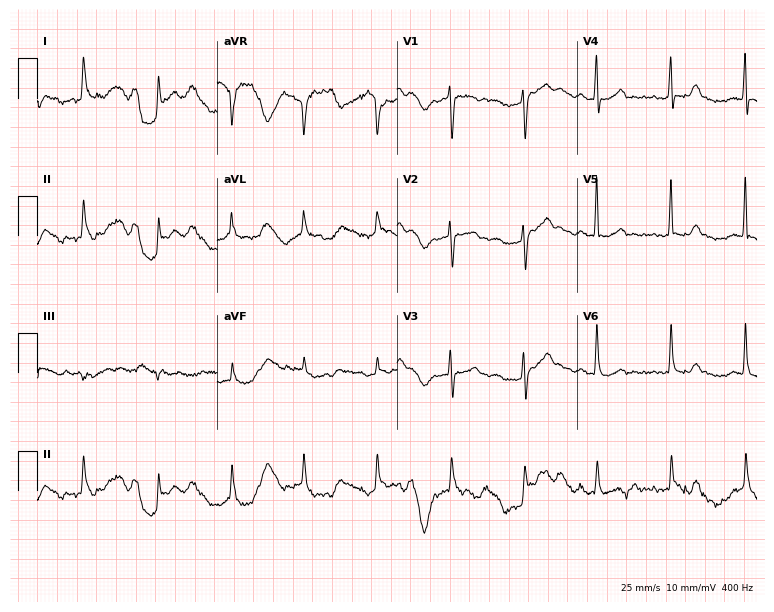
ECG (7.3-second recording at 400 Hz) — a 75-year-old woman. Screened for six findings — first-degree AV block, right bundle branch block (RBBB), left bundle branch block (LBBB), sinus bradycardia, atrial fibrillation (AF), sinus tachycardia — none is recorded.